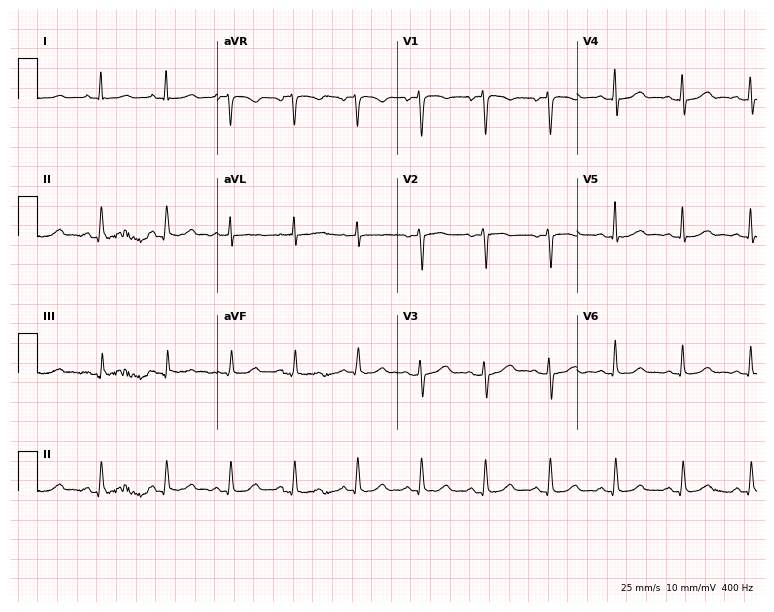
ECG (7.3-second recording at 400 Hz) — a 48-year-old female patient. Screened for six findings — first-degree AV block, right bundle branch block (RBBB), left bundle branch block (LBBB), sinus bradycardia, atrial fibrillation (AF), sinus tachycardia — none is recorded. Findings outside these six are not listed.